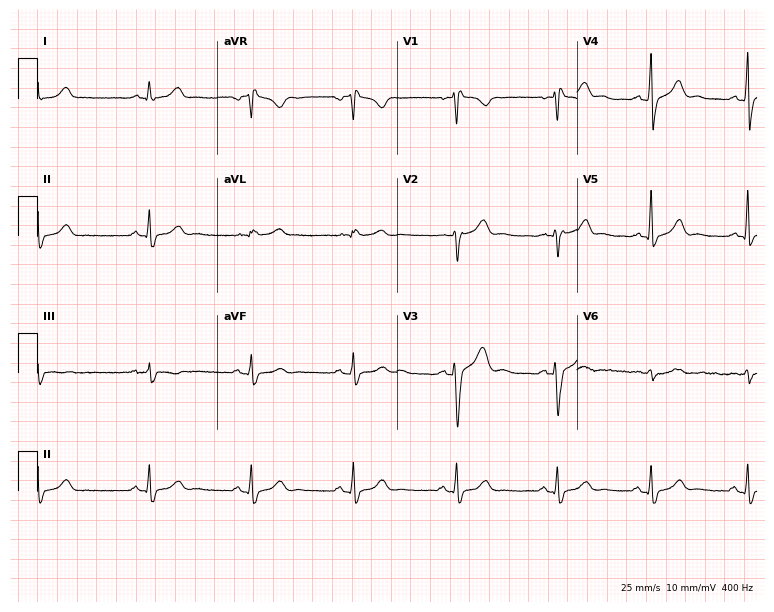
Electrocardiogram (7.3-second recording at 400 Hz), a 35-year-old man. Of the six screened findings (first-degree AV block, right bundle branch block, left bundle branch block, sinus bradycardia, atrial fibrillation, sinus tachycardia), none is recorded.